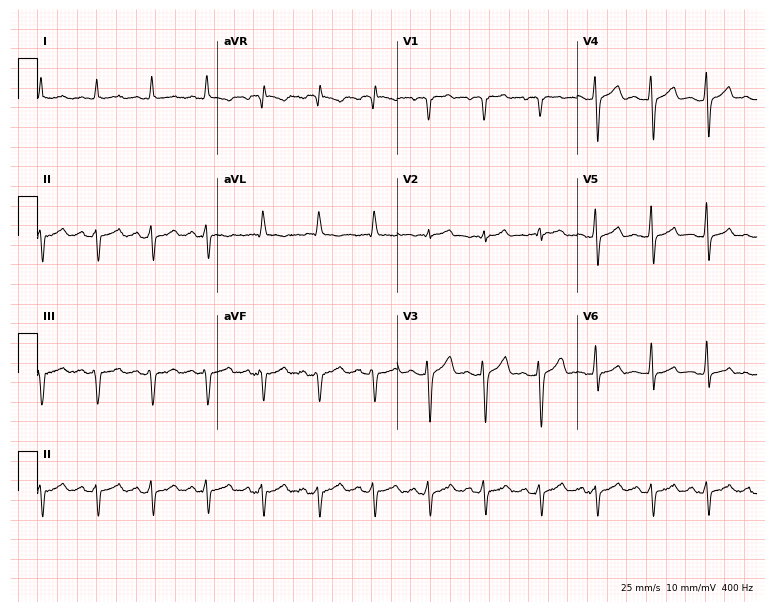
ECG (7.3-second recording at 400 Hz) — a male patient, 59 years old. Findings include sinus tachycardia (a sinus rate of 100 beats per minute or more).